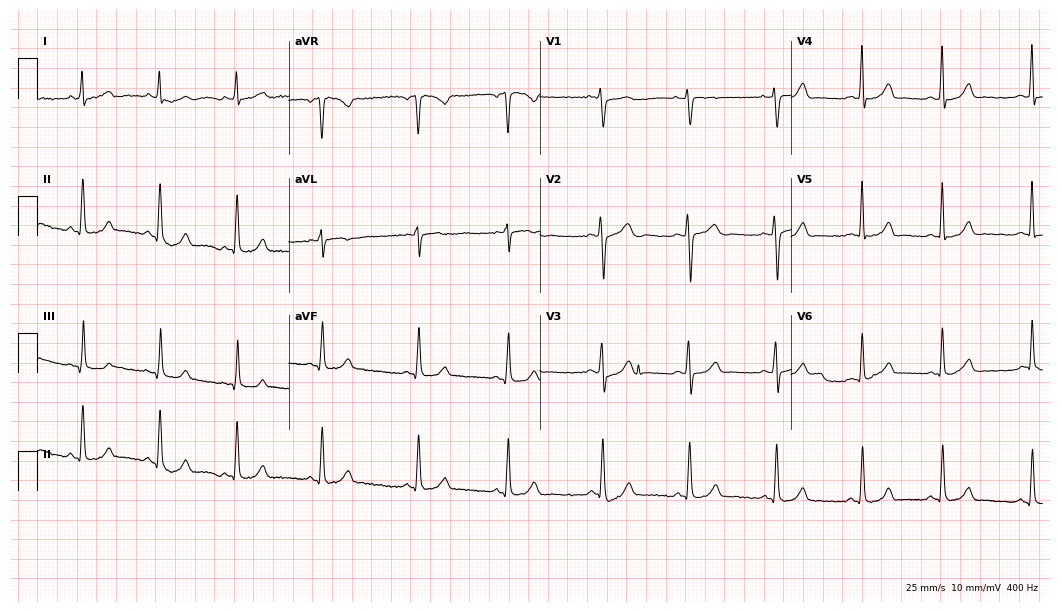
Electrocardiogram (10.2-second recording at 400 Hz), a woman, 27 years old. Of the six screened findings (first-degree AV block, right bundle branch block (RBBB), left bundle branch block (LBBB), sinus bradycardia, atrial fibrillation (AF), sinus tachycardia), none is recorded.